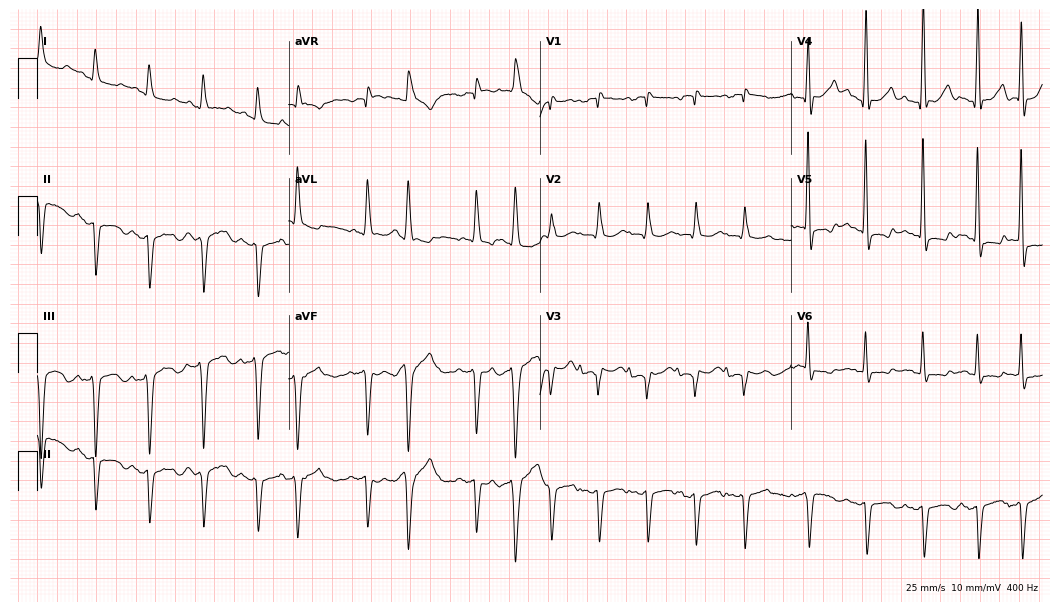
Electrocardiogram, a male, 73 years old. Of the six screened findings (first-degree AV block, right bundle branch block (RBBB), left bundle branch block (LBBB), sinus bradycardia, atrial fibrillation (AF), sinus tachycardia), none is recorded.